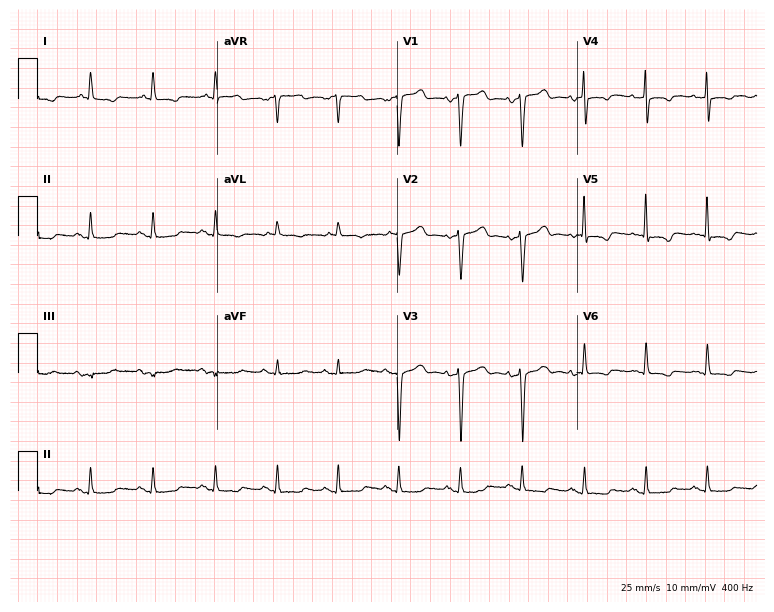
12-lead ECG from a male patient, 73 years old (7.3-second recording at 400 Hz). No first-degree AV block, right bundle branch block, left bundle branch block, sinus bradycardia, atrial fibrillation or sinus tachycardia recorded for this tracing. Findings outside these six are not listed.